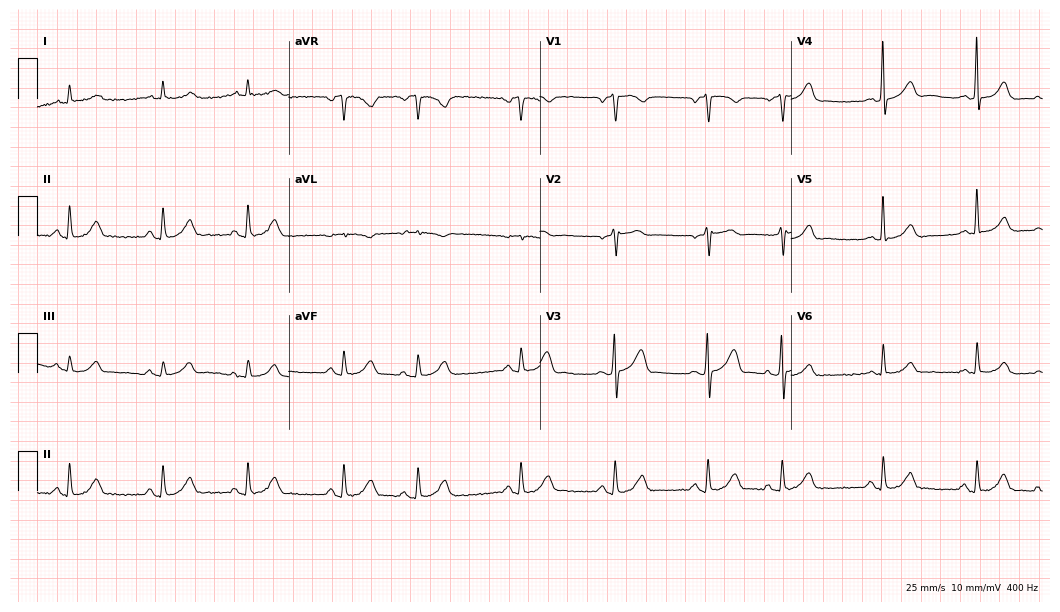
Standard 12-lead ECG recorded from a 79-year-old male (10.2-second recording at 400 Hz). Read as a normal ECG.